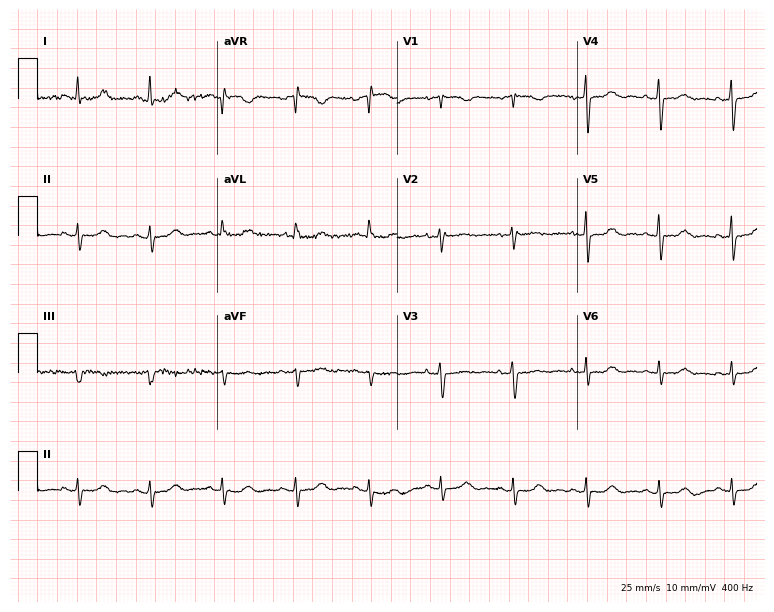
ECG (7.3-second recording at 400 Hz) — a woman, 72 years old. Screened for six findings — first-degree AV block, right bundle branch block, left bundle branch block, sinus bradycardia, atrial fibrillation, sinus tachycardia — none is recorded. Other findings, if any, are not listed.